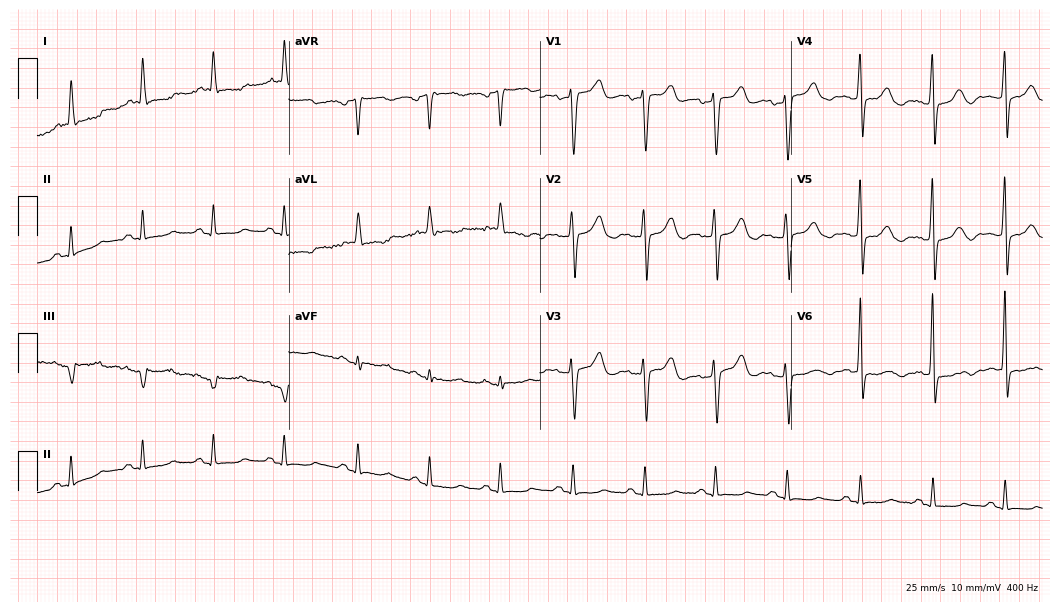
Standard 12-lead ECG recorded from an 80-year-old female patient (10.2-second recording at 400 Hz). None of these six findings is recorded: first-degree AV block, right bundle branch block, left bundle branch block, sinus bradycardia, atrial fibrillation, sinus tachycardia. Other findings, if any, are not listed.